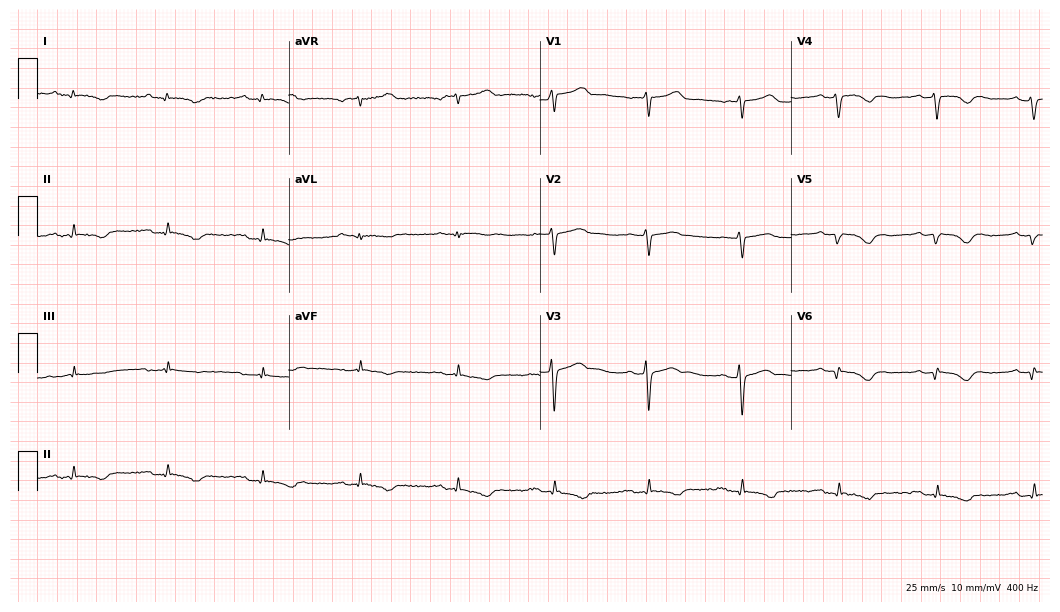
12-lead ECG (10.2-second recording at 400 Hz) from an 80-year-old male patient. Screened for six findings — first-degree AV block, right bundle branch block, left bundle branch block, sinus bradycardia, atrial fibrillation, sinus tachycardia — none is recorded. Other findings, if any, are not listed.